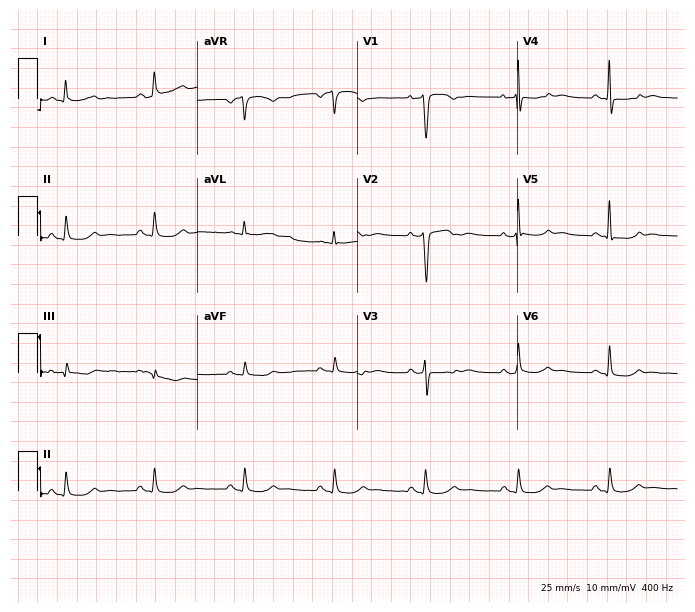
12-lead ECG (6.5-second recording at 400 Hz) from a 67-year-old woman. Screened for six findings — first-degree AV block, right bundle branch block, left bundle branch block, sinus bradycardia, atrial fibrillation, sinus tachycardia — none is recorded. Findings outside these six are not listed.